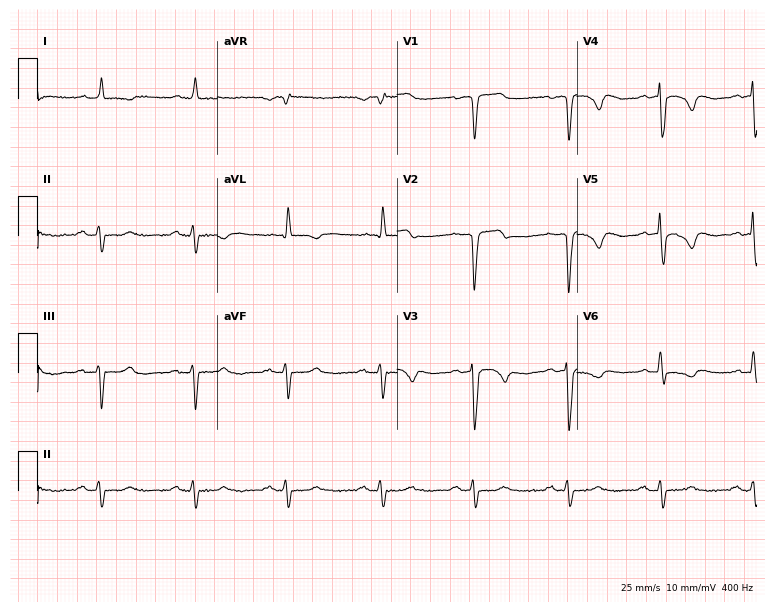
12-lead ECG from a 70-year-old male patient. No first-degree AV block, right bundle branch block, left bundle branch block, sinus bradycardia, atrial fibrillation or sinus tachycardia recorded for this tracing.